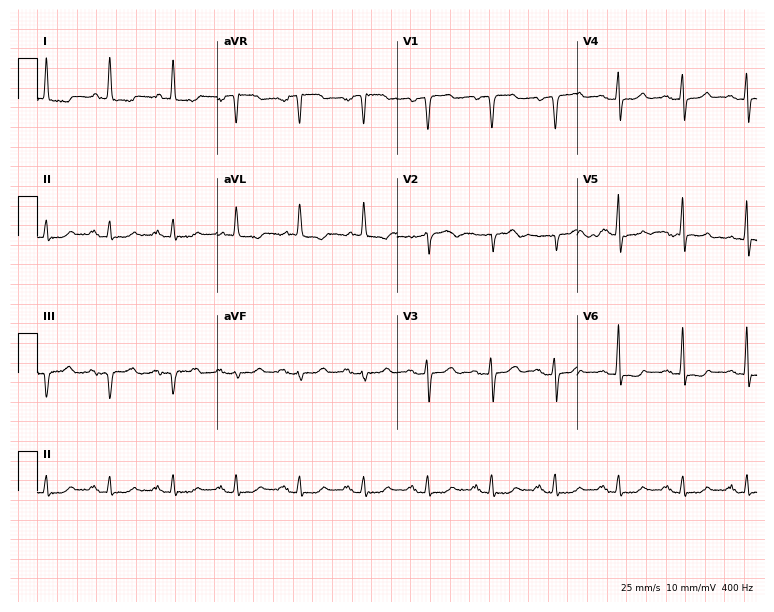
Resting 12-lead electrocardiogram. Patient: a female, 74 years old. None of these six findings is recorded: first-degree AV block, right bundle branch block, left bundle branch block, sinus bradycardia, atrial fibrillation, sinus tachycardia. Other findings, if any, are not listed.